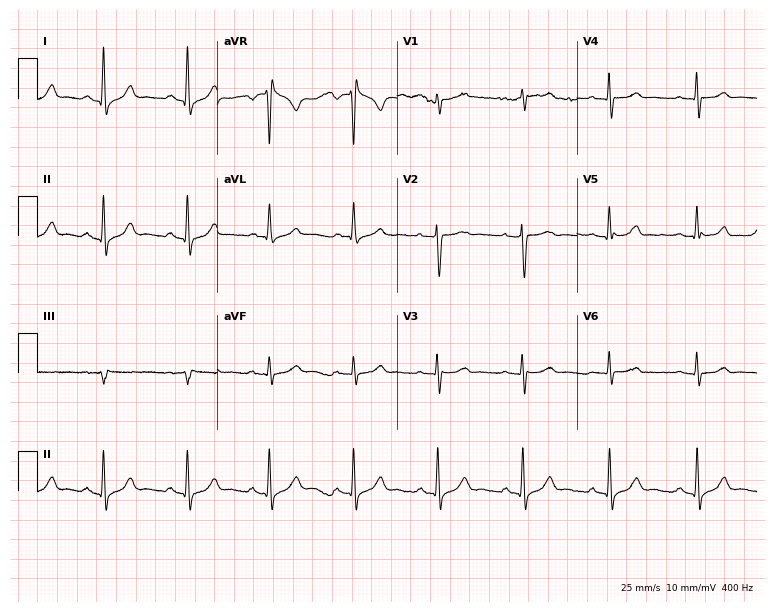
Resting 12-lead electrocardiogram (7.3-second recording at 400 Hz). Patient: a female, 59 years old. None of these six findings is recorded: first-degree AV block, right bundle branch block, left bundle branch block, sinus bradycardia, atrial fibrillation, sinus tachycardia. Other findings, if any, are not listed.